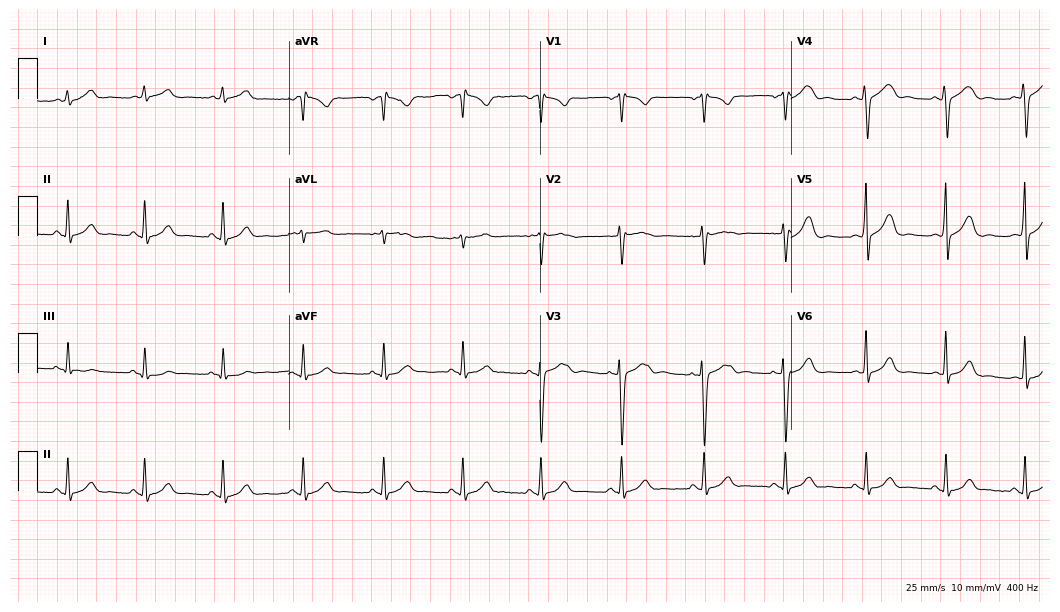
12-lead ECG from a female, 34 years old. No first-degree AV block, right bundle branch block, left bundle branch block, sinus bradycardia, atrial fibrillation or sinus tachycardia recorded for this tracing.